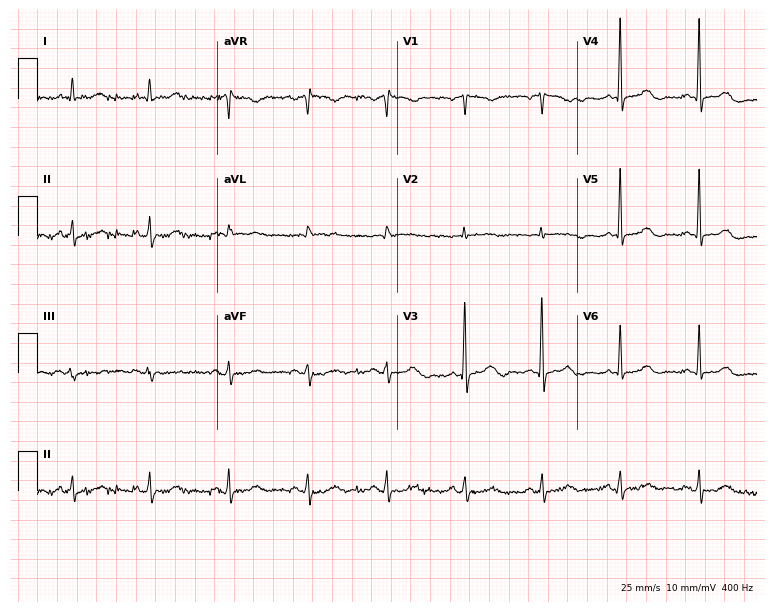
Standard 12-lead ECG recorded from a female, 64 years old. None of these six findings is recorded: first-degree AV block, right bundle branch block (RBBB), left bundle branch block (LBBB), sinus bradycardia, atrial fibrillation (AF), sinus tachycardia. Other findings, if any, are not listed.